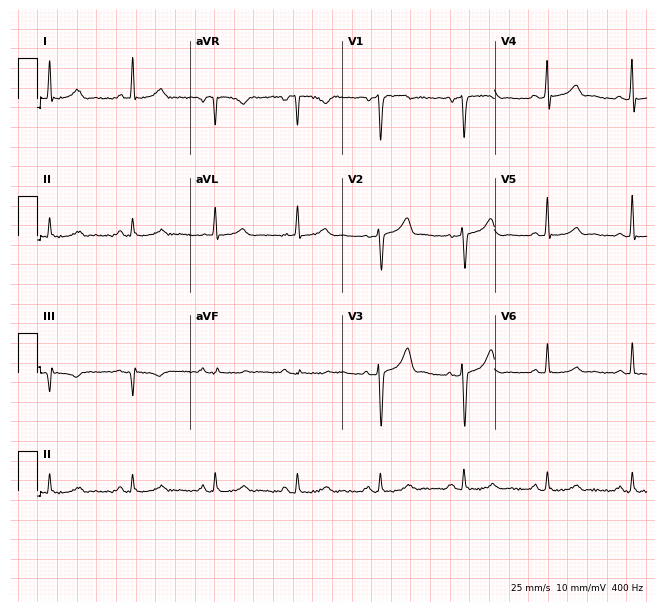
ECG (6.2-second recording at 400 Hz) — a male, 59 years old. Screened for six findings — first-degree AV block, right bundle branch block (RBBB), left bundle branch block (LBBB), sinus bradycardia, atrial fibrillation (AF), sinus tachycardia — none is recorded.